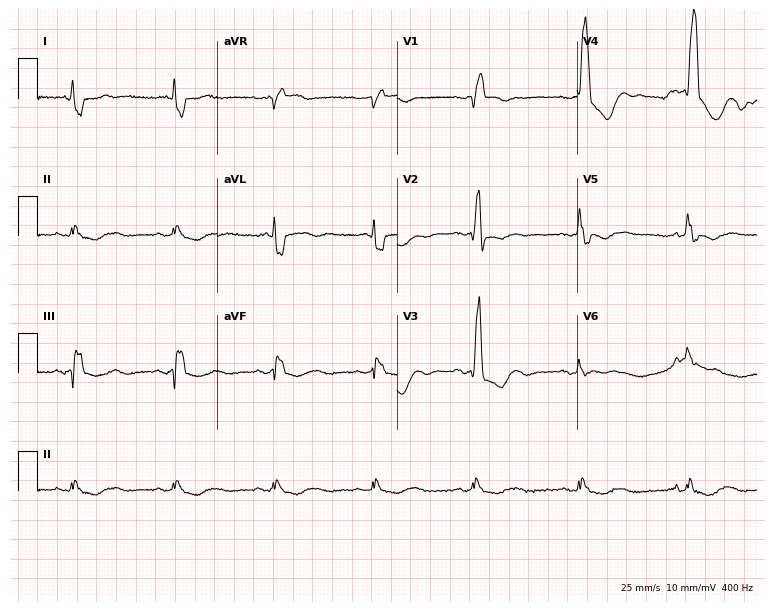
ECG (7.3-second recording at 400 Hz) — a 61-year-old female patient. Findings include right bundle branch block.